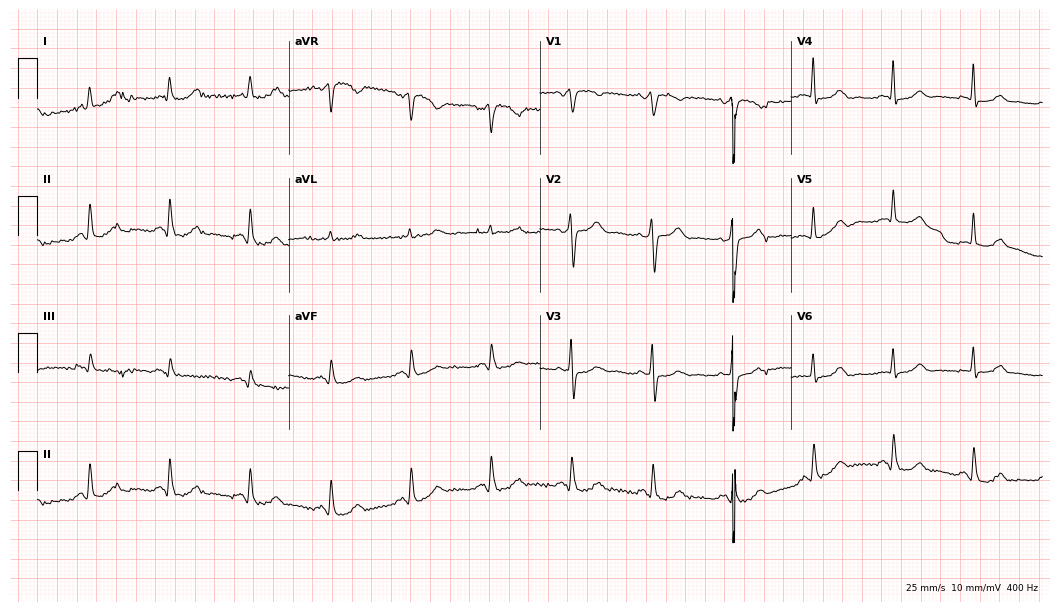
ECG — a woman, 67 years old. Screened for six findings — first-degree AV block, right bundle branch block (RBBB), left bundle branch block (LBBB), sinus bradycardia, atrial fibrillation (AF), sinus tachycardia — none is recorded. Other findings, if any, are not listed.